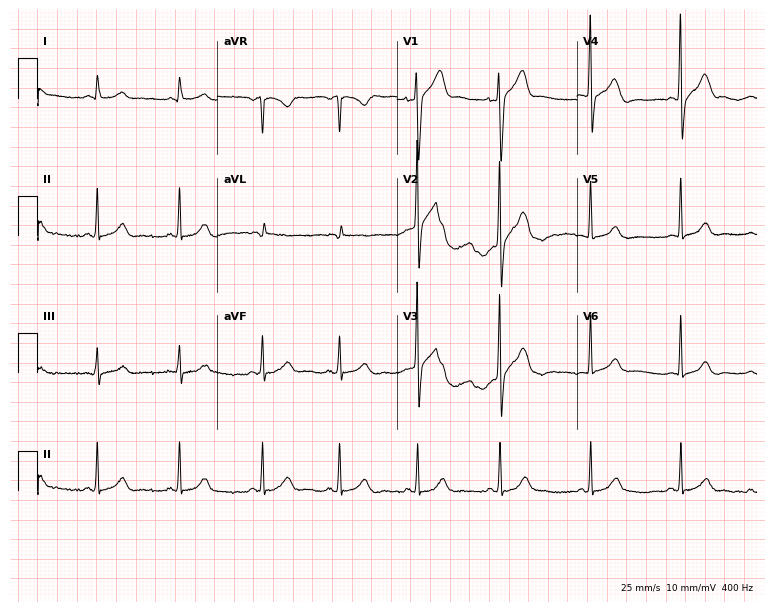
12-lead ECG from a man, 38 years old. Labelled as a normal ECG.